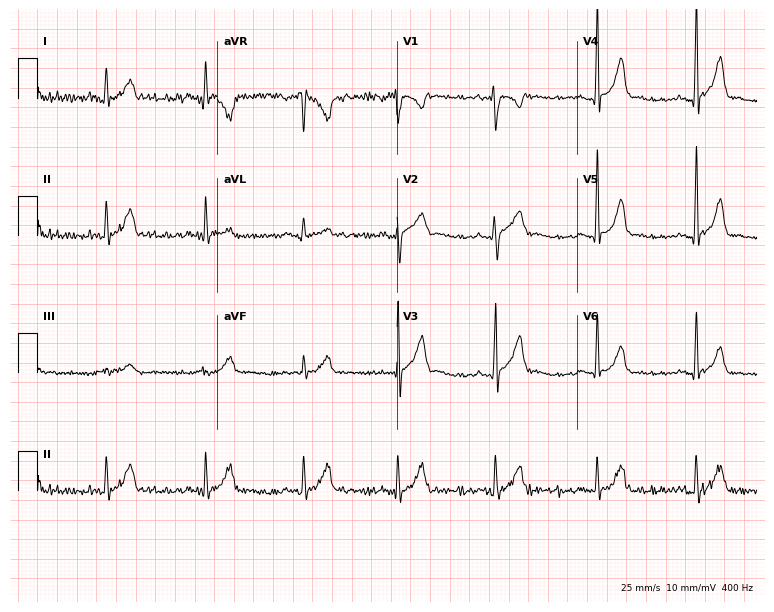
12-lead ECG from a man, 21 years old (7.3-second recording at 400 Hz). Recorded interpretation: within normal limits.